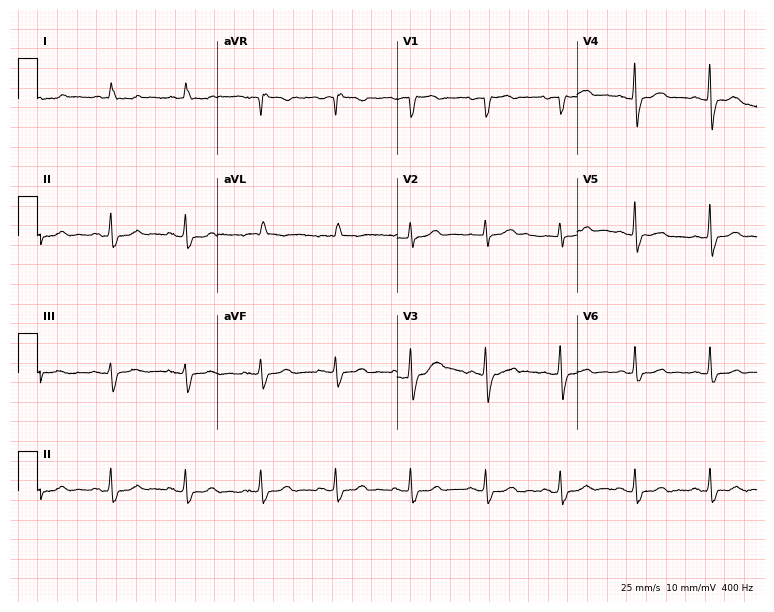
Electrocardiogram, a male, 85 years old. Overall reading on record: normal ECG.